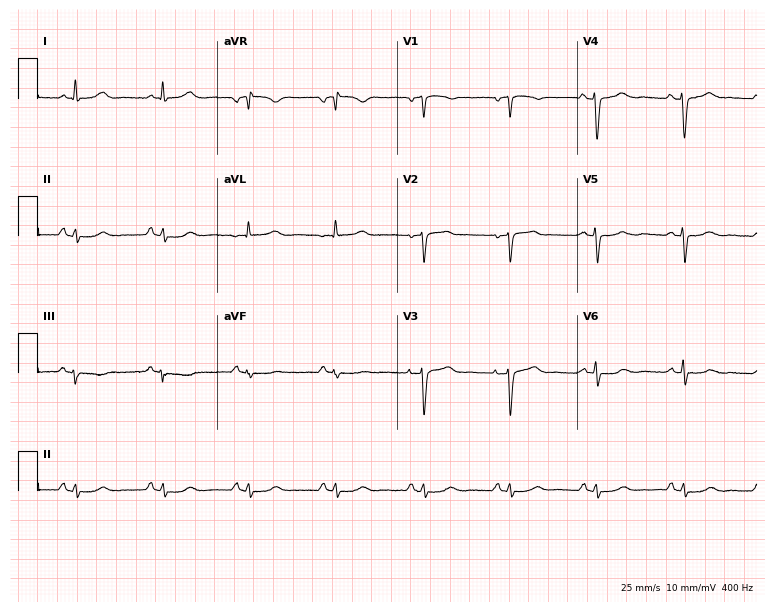
Electrocardiogram (7.3-second recording at 400 Hz), a woman, 70 years old. Of the six screened findings (first-degree AV block, right bundle branch block, left bundle branch block, sinus bradycardia, atrial fibrillation, sinus tachycardia), none is recorded. Other findings, if any, are not listed.